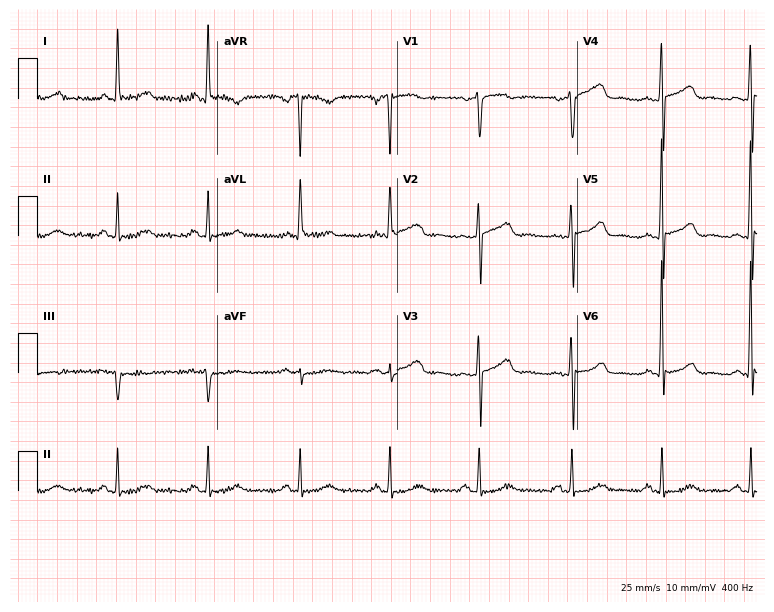
Electrocardiogram (7.3-second recording at 400 Hz), a 61-year-old woman. Of the six screened findings (first-degree AV block, right bundle branch block, left bundle branch block, sinus bradycardia, atrial fibrillation, sinus tachycardia), none is recorded. Findings outside these six are not listed.